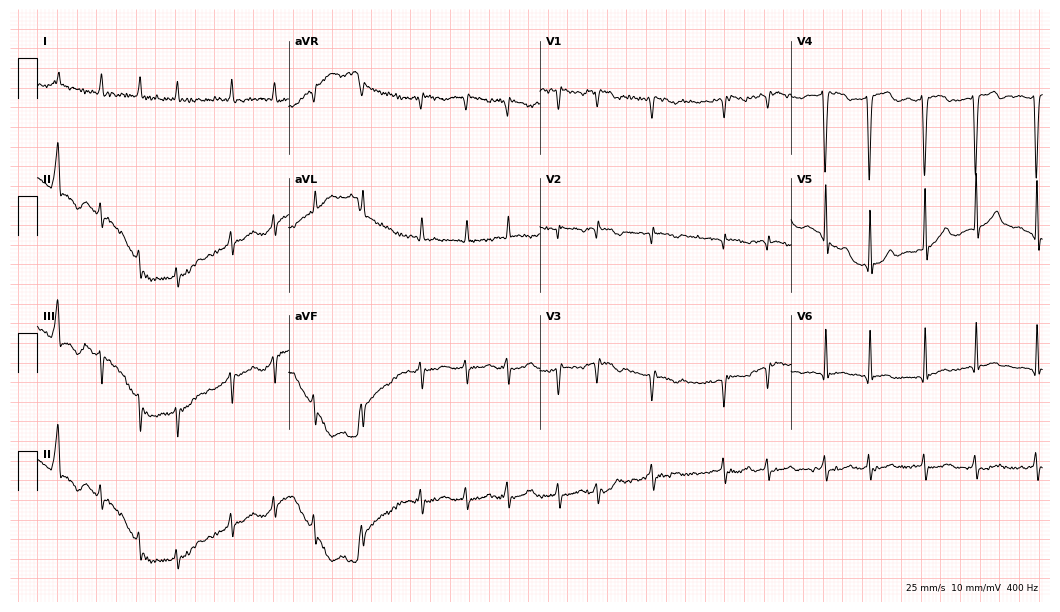
Resting 12-lead electrocardiogram (10.2-second recording at 400 Hz). Patient: an 84-year-old male. The tracing shows atrial fibrillation.